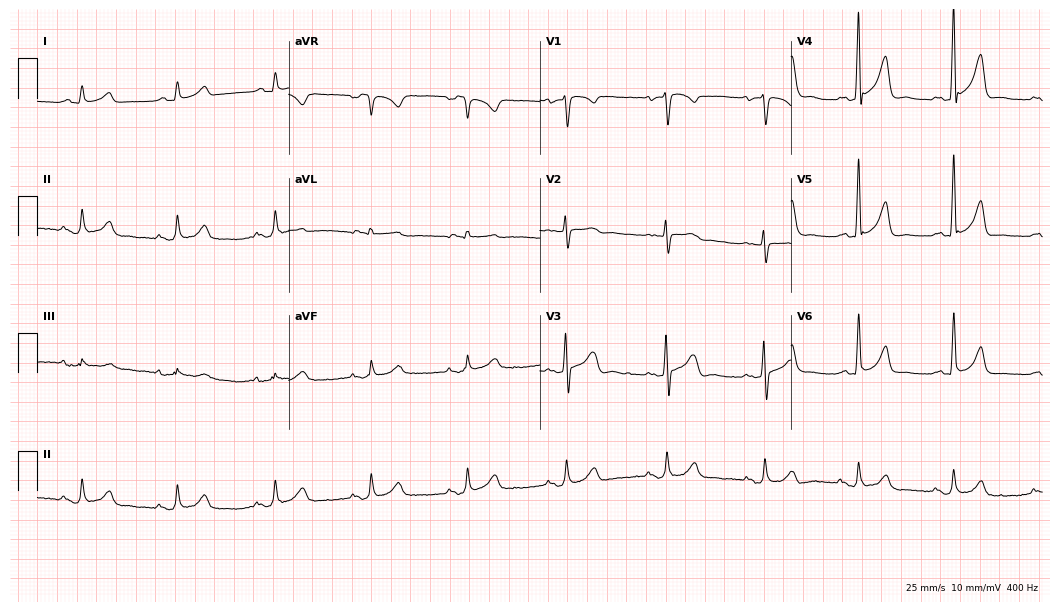
Electrocardiogram, a male patient, 41 years old. Overall reading on record: normal ECG.